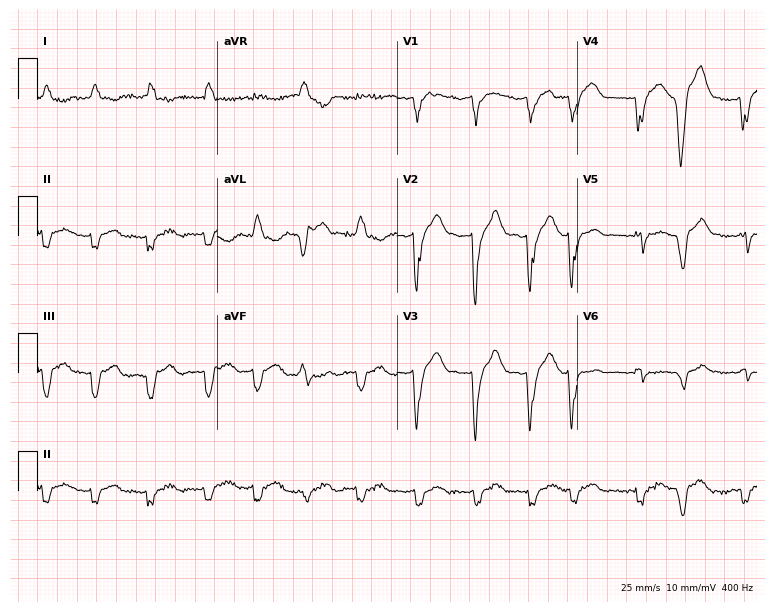
12-lead ECG from a 63-year-old male. Findings include left bundle branch block, atrial fibrillation.